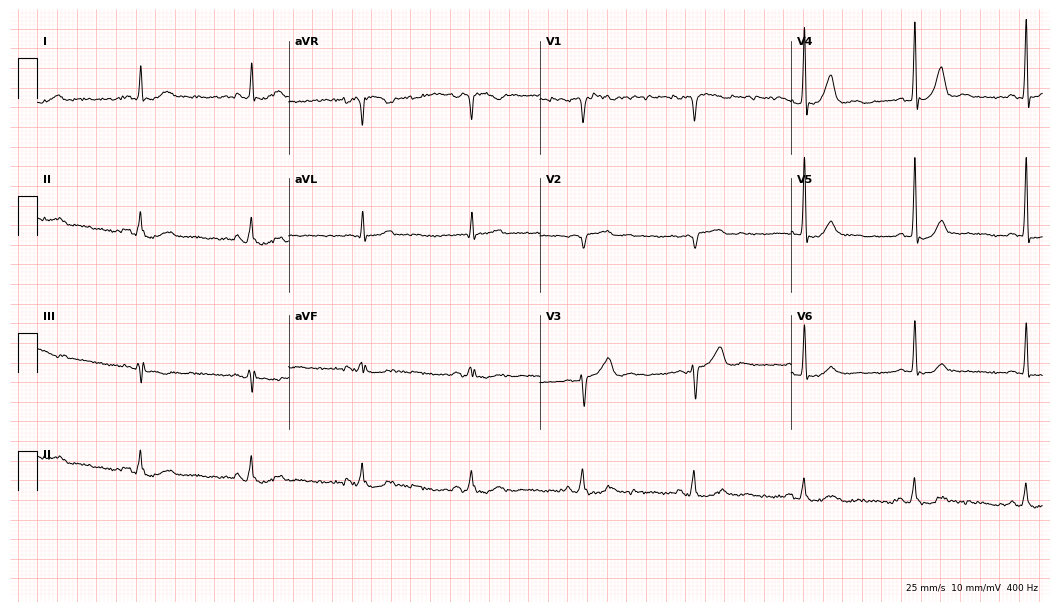
ECG — a male patient, 80 years old. Screened for six findings — first-degree AV block, right bundle branch block (RBBB), left bundle branch block (LBBB), sinus bradycardia, atrial fibrillation (AF), sinus tachycardia — none is recorded. Findings outside these six are not listed.